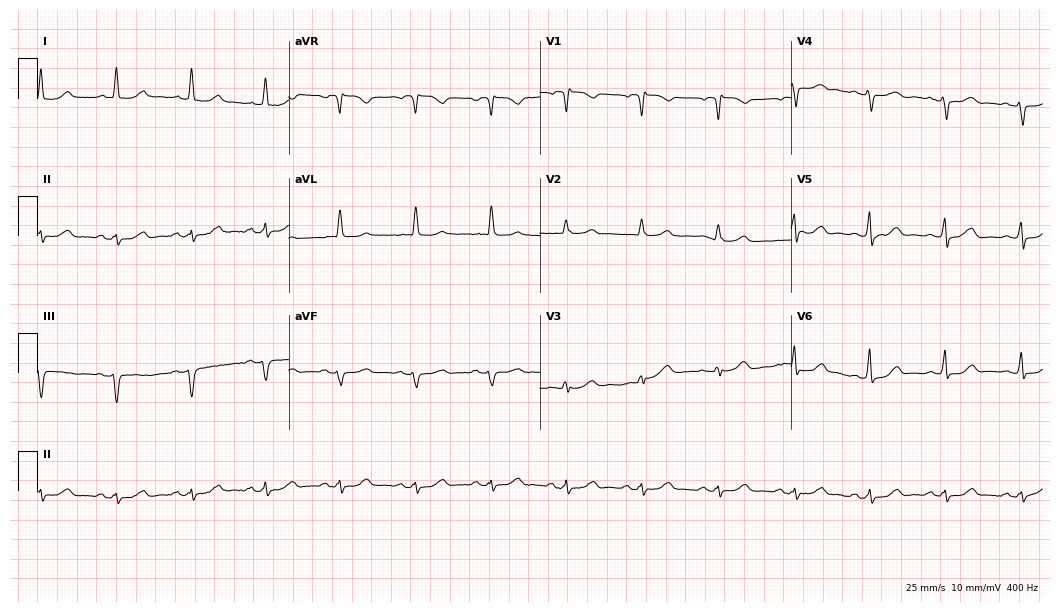
Resting 12-lead electrocardiogram. Patient: a 77-year-old female. Read as a normal ECG.